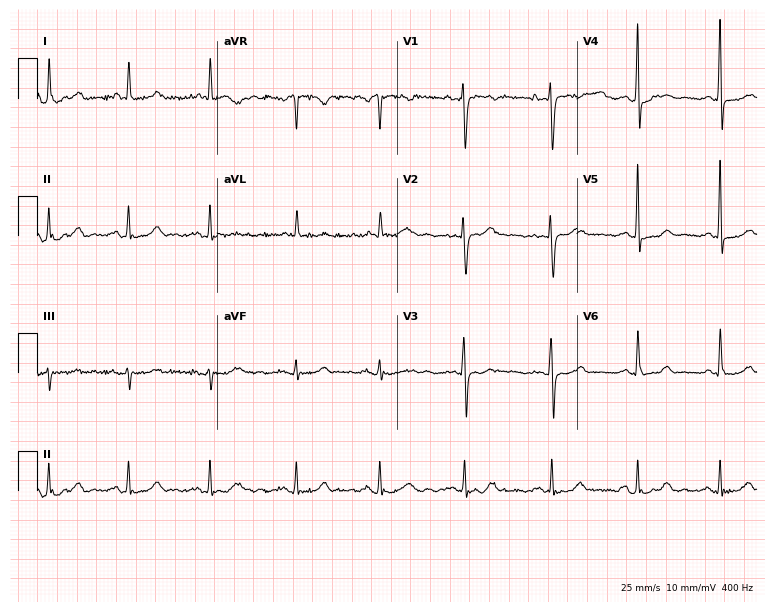
Resting 12-lead electrocardiogram. Patient: a 52-year-old woman. Read as a normal ECG.